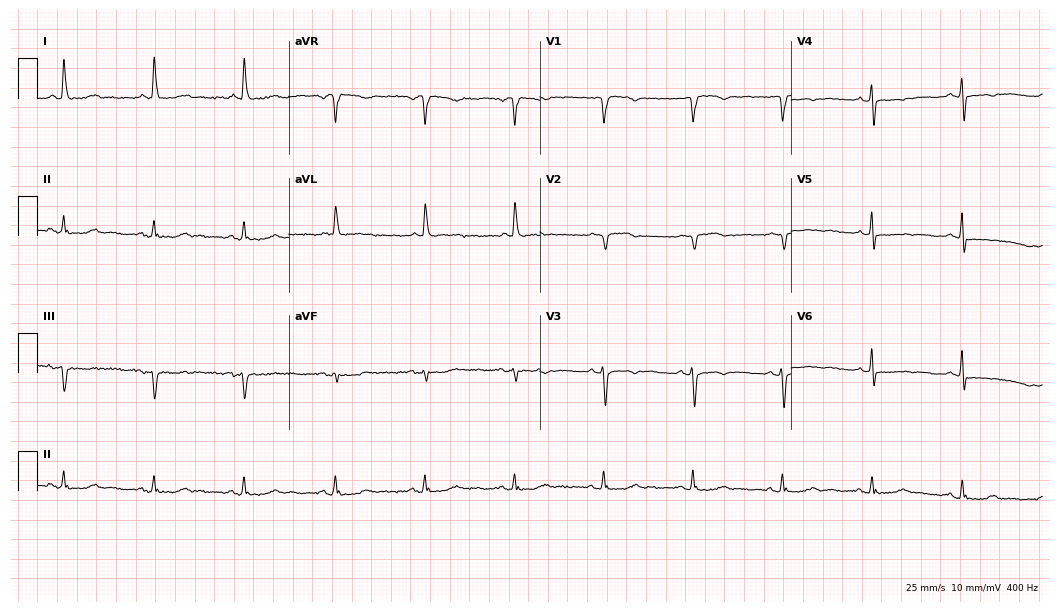
ECG — a 63-year-old woman. Screened for six findings — first-degree AV block, right bundle branch block, left bundle branch block, sinus bradycardia, atrial fibrillation, sinus tachycardia — none is recorded.